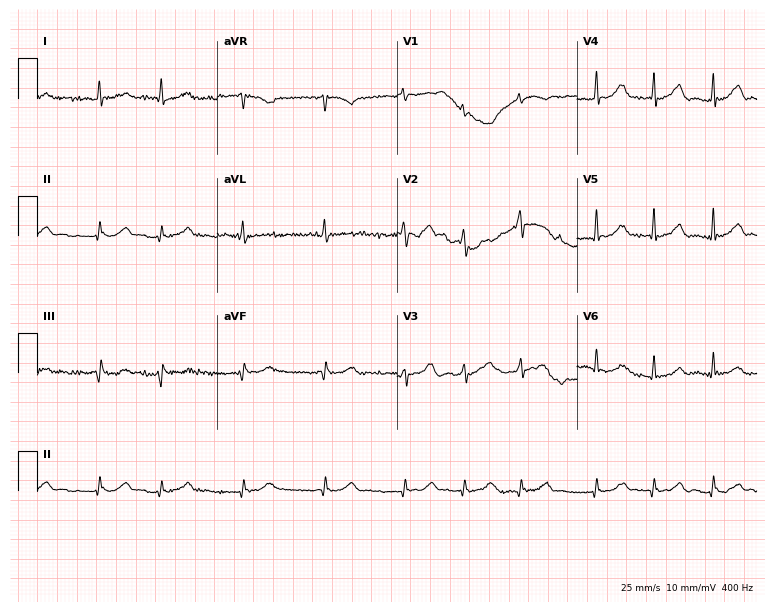
Electrocardiogram (7.3-second recording at 400 Hz), a 65-year-old male. Of the six screened findings (first-degree AV block, right bundle branch block (RBBB), left bundle branch block (LBBB), sinus bradycardia, atrial fibrillation (AF), sinus tachycardia), none is recorded.